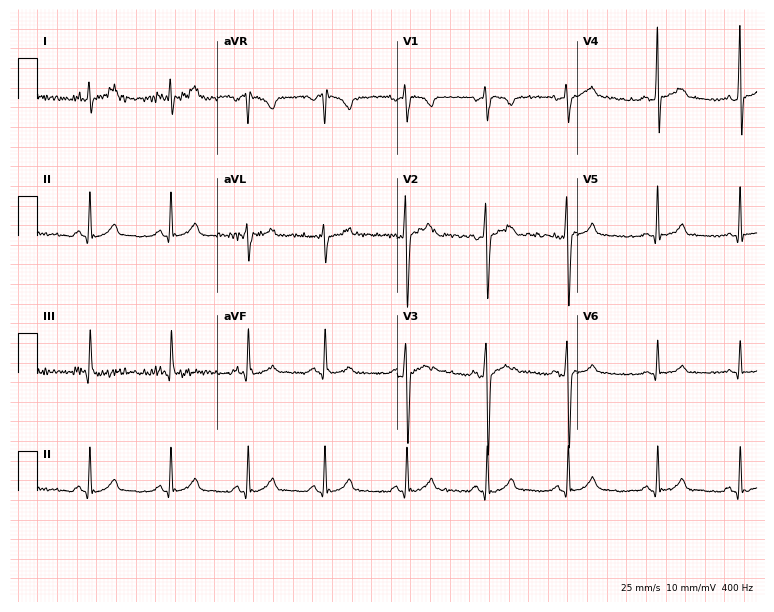
Standard 12-lead ECG recorded from a man, 22 years old. None of these six findings is recorded: first-degree AV block, right bundle branch block (RBBB), left bundle branch block (LBBB), sinus bradycardia, atrial fibrillation (AF), sinus tachycardia.